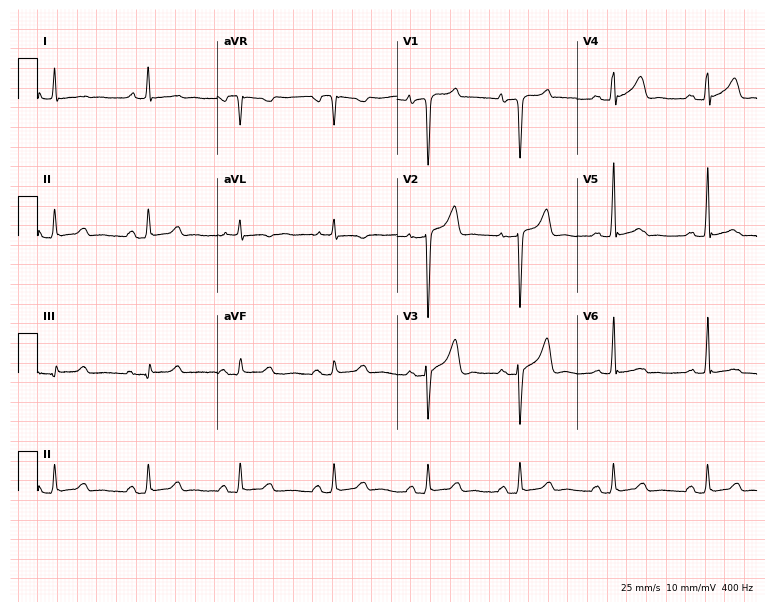
12-lead ECG from a man, 45 years old. Screened for six findings — first-degree AV block, right bundle branch block, left bundle branch block, sinus bradycardia, atrial fibrillation, sinus tachycardia — none is recorded.